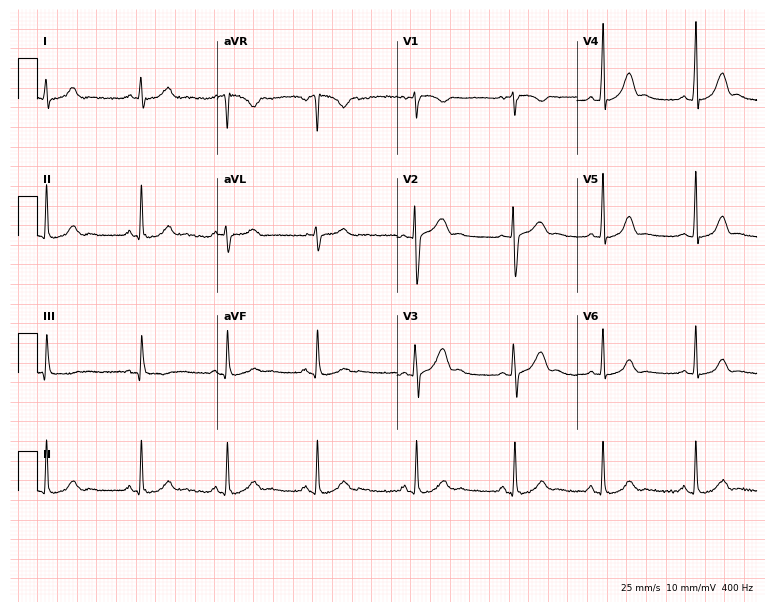
Standard 12-lead ECG recorded from a 32-year-old female. None of these six findings is recorded: first-degree AV block, right bundle branch block (RBBB), left bundle branch block (LBBB), sinus bradycardia, atrial fibrillation (AF), sinus tachycardia.